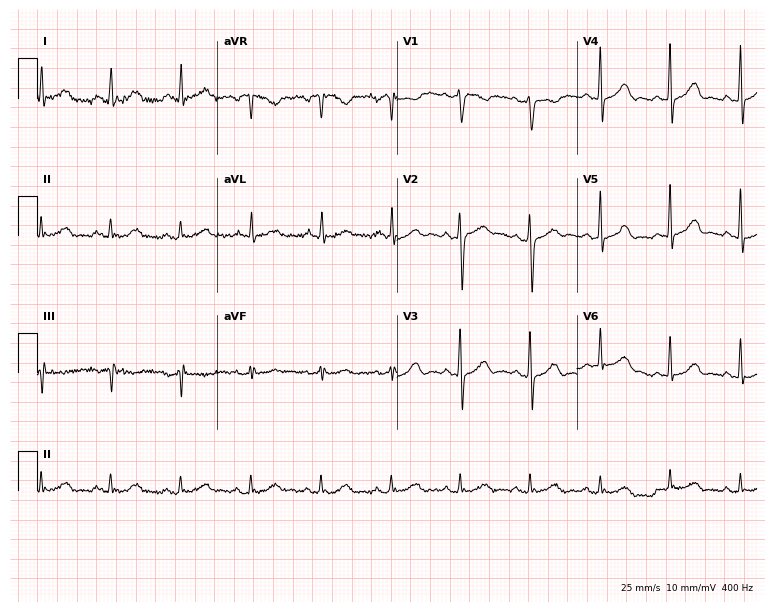
12-lead ECG from a female, 55 years old (7.3-second recording at 400 Hz). No first-degree AV block, right bundle branch block (RBBB), left bundle branch block (LBBB), sinus bradycardia, atrial fibrillation (AF) or sinus tachycardia recorded for this tracing.